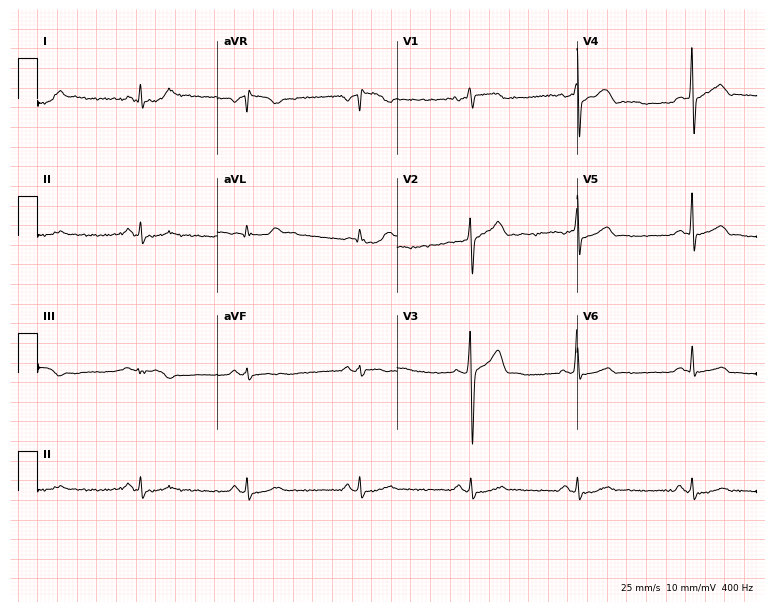
12-lead ECG from a 47-year-old male. No first-degree AV block, right bundle branch block, left bundle branch block, sinus bradycardia, atrial fibrillation or sinus tachycardia recorded for this tracing.